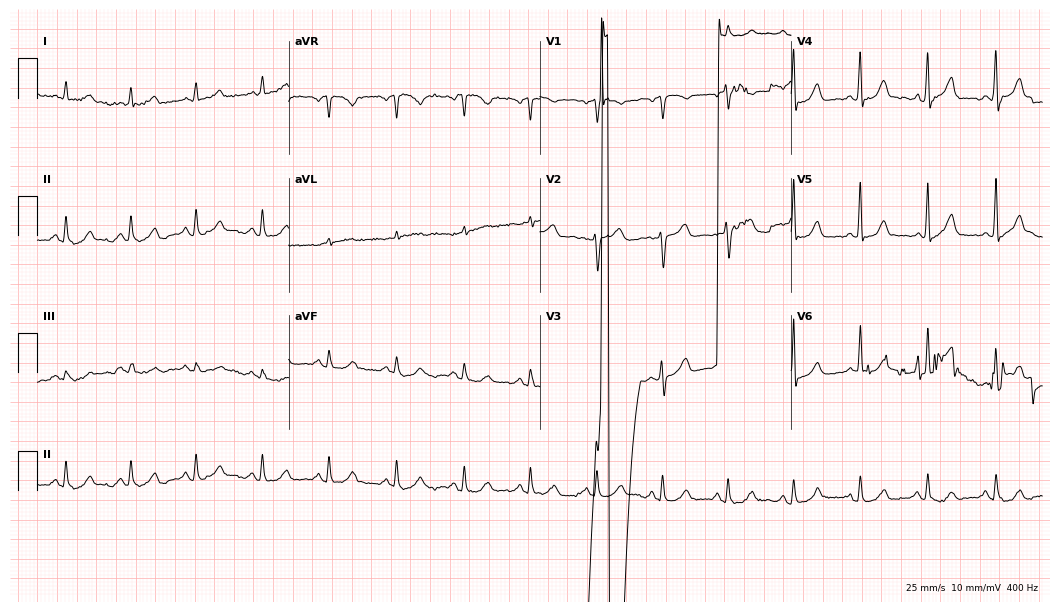
12-lead ECG from a 54-year-old woman. No first-degree AV block, right bundle branch block (RBBB), left bundle branch block (LBBB), sinus bradycardia, atrial fibrillation (AF) or sinus tachycardia recorded for this tracing. Other findings, if any, are not listed.